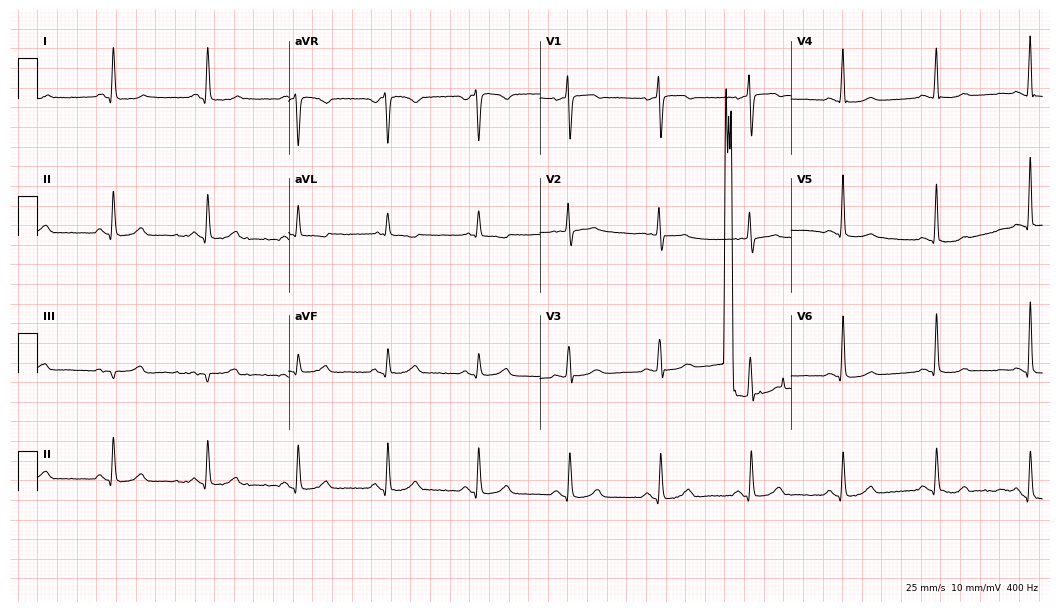
12-lead ECG (10.2-second recording at 400 Hz) from a woman, 58 years old. Screened for six findings — first-degree AV block, right bundle branch block, left bundle branch block, sinus bradycardia, atrial fibrillation, sinus tachycardia — none is recorded. Findings outside these six are not listed.